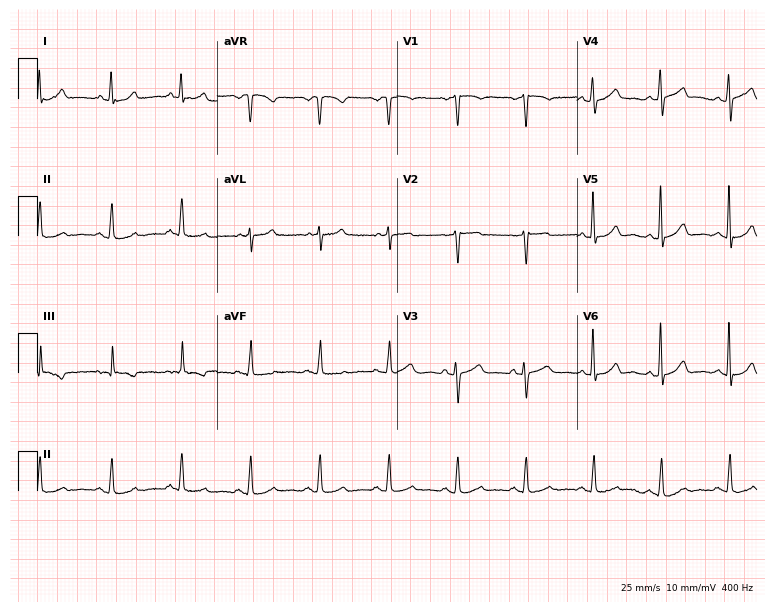
ECG — a 51-year-old female patient. Screened for six findings — first-degree AV block, right bundle branch block, left bundle branch block, sinus bradycardia, atrial fibrillation, sinus tachycardia — none is recorded. Only these six findings were labelled.